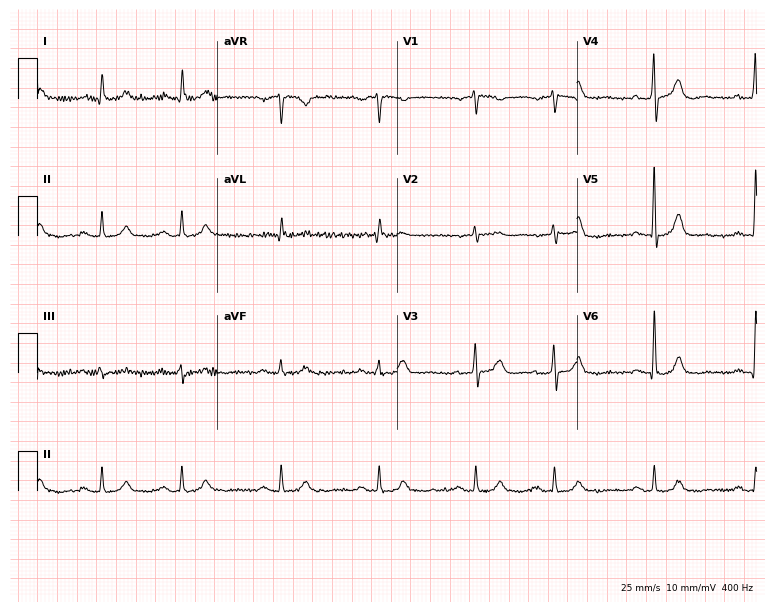
Resting 12-lead electrocardiogram. Patient: an 80-year-old man. None of these six findings is recorded: first-degree AV block, right bundle branch block, left bundle branch block, sinus bradycardia, atrial fibrillation, sinus tachycardia.